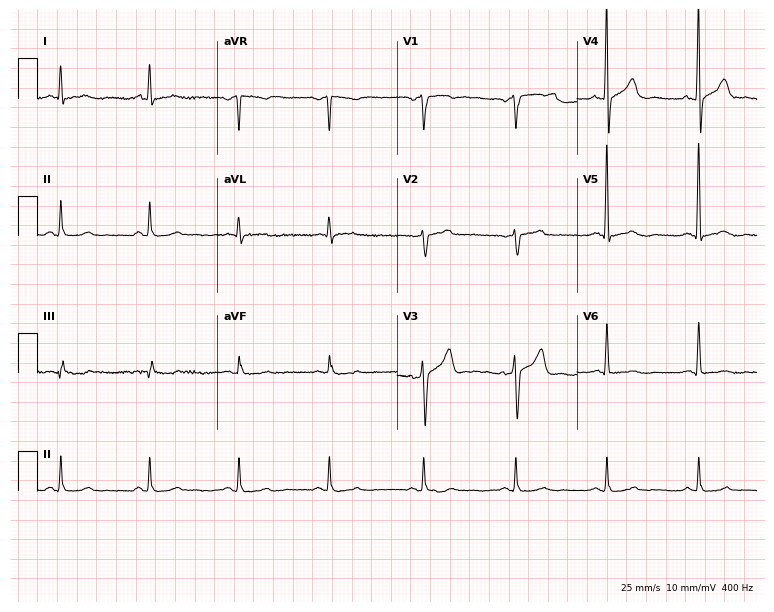
Resting 12-lead electrocardiogram (7.3-second recording at 400 Hz). Patient: a male, 60 years old. None of these six findings is recorded: first-degree AV block, right bundle branch block, left bundle branch block, sinus bradycardia, atrial fibrillation, sinus tachycardia.